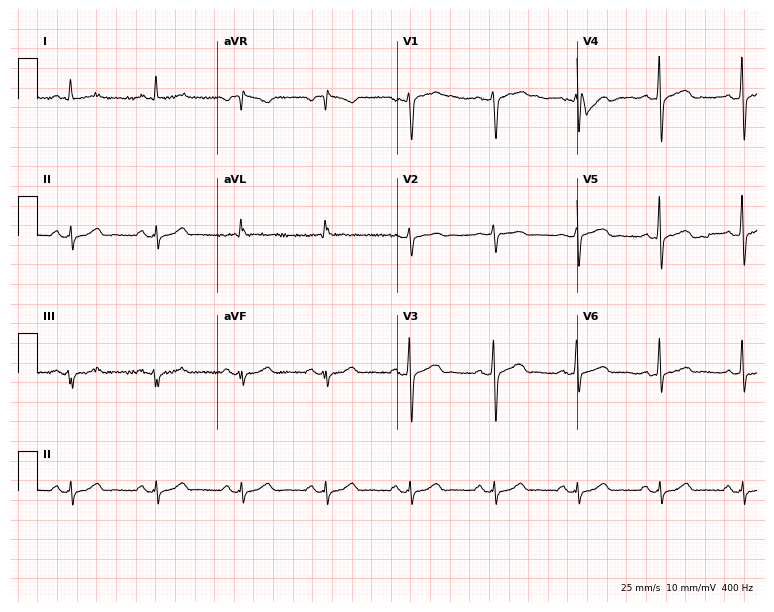
12-lead ECG from a 73-year-old man (7.3-second recording at 400 Hz). No first-degree AV block, right bundle branch block, left bundle branch block, sinus bradycardia, atrial fibrillation or sinus tachycardia recorded for this tracing. Other findings, if any, are not listed.